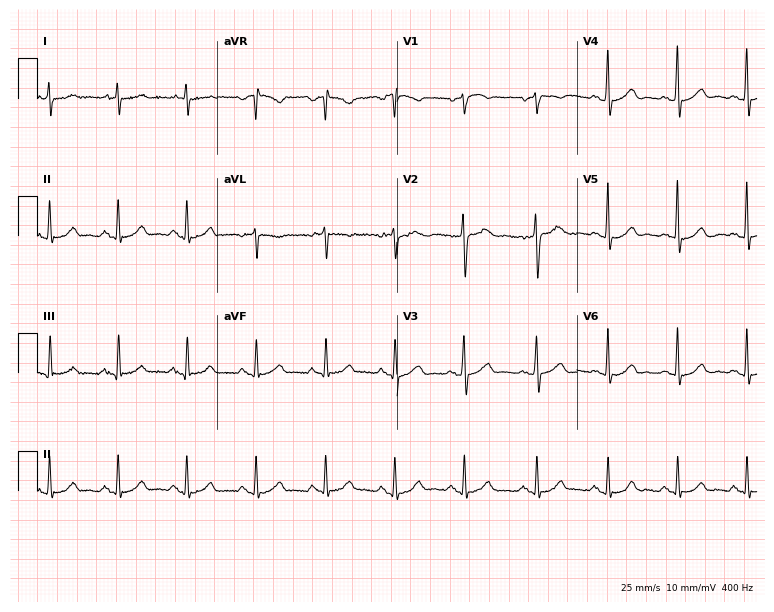
ECG — a male, 52 years old. Labelled as a normal ECG.